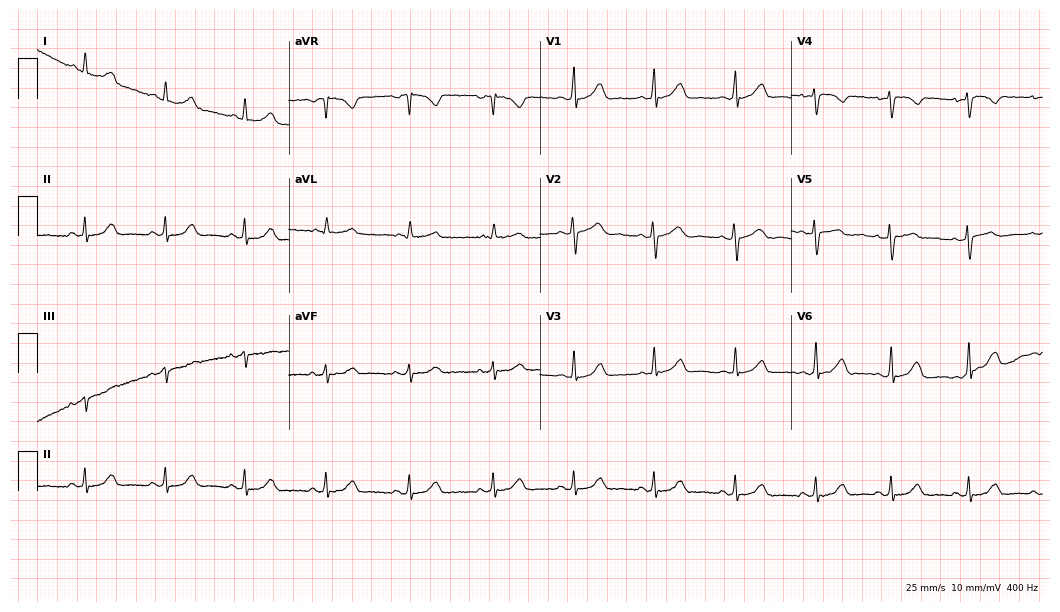
Electrocardiogram, a 39-year-old female patient. Of the six screened findings (first-degree AV block, right bundle branch block, left bundle branch block, sinus bradycardia, atrial fibrillation, sinus tachycardia), none is recorded. Findings outside these six are not listed.